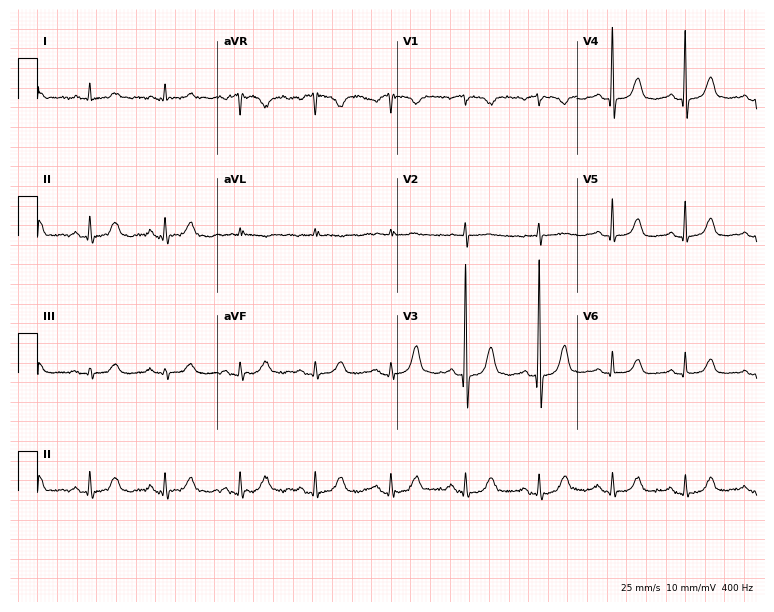
ECG (7.3-second recording at 400 Hz) — a 73-year-old female. Labelled as a normal ECG.